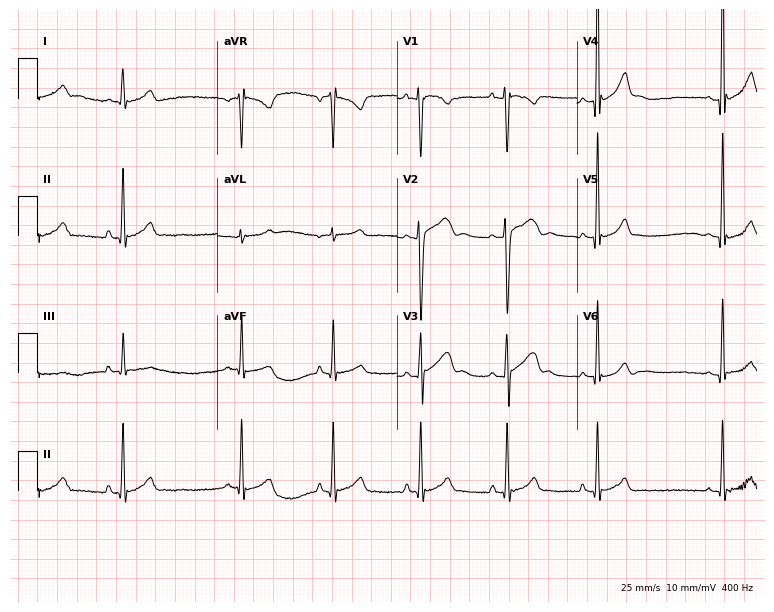
12-lead ECG from a 17-year-old male. Recorded interpretation: within normal limits.